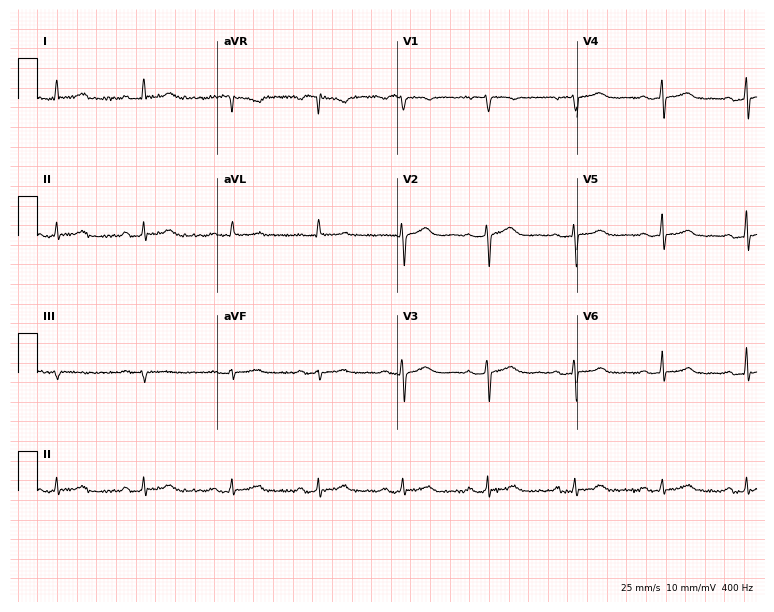
Electrocardiogram (7.3-second recording at 400 Hz), a woman, 57 years old. Overall reading on record: normal ECG.